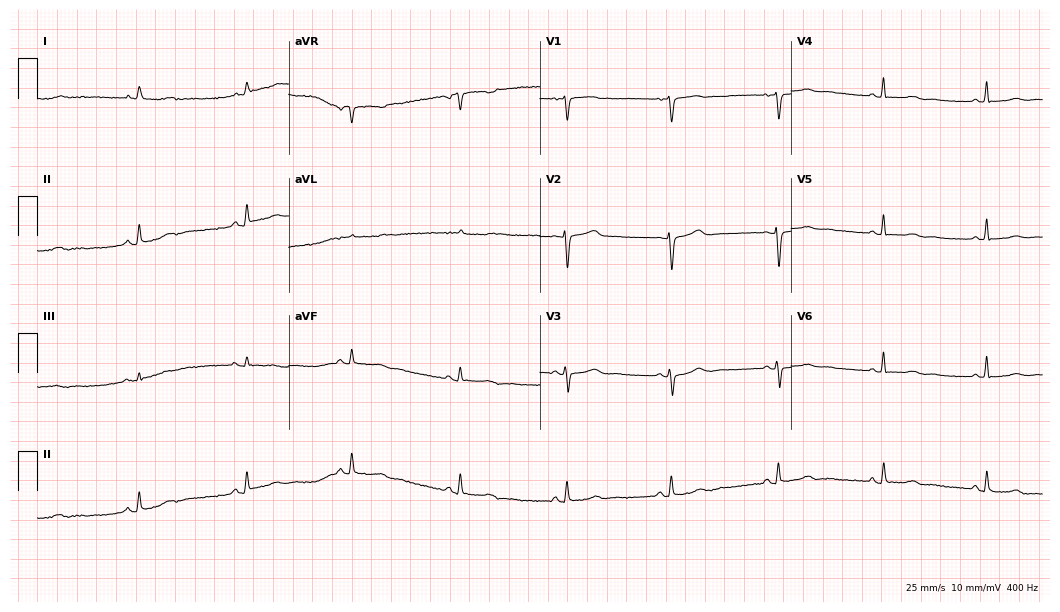
12-lead ECG from a female, 59 years old. Screened for six findings — first-degree AV block, right bundle branch block, left bundle branch block, sinus bradycardia, atrial fibrillation, sinus tachycardia — none is recorded.